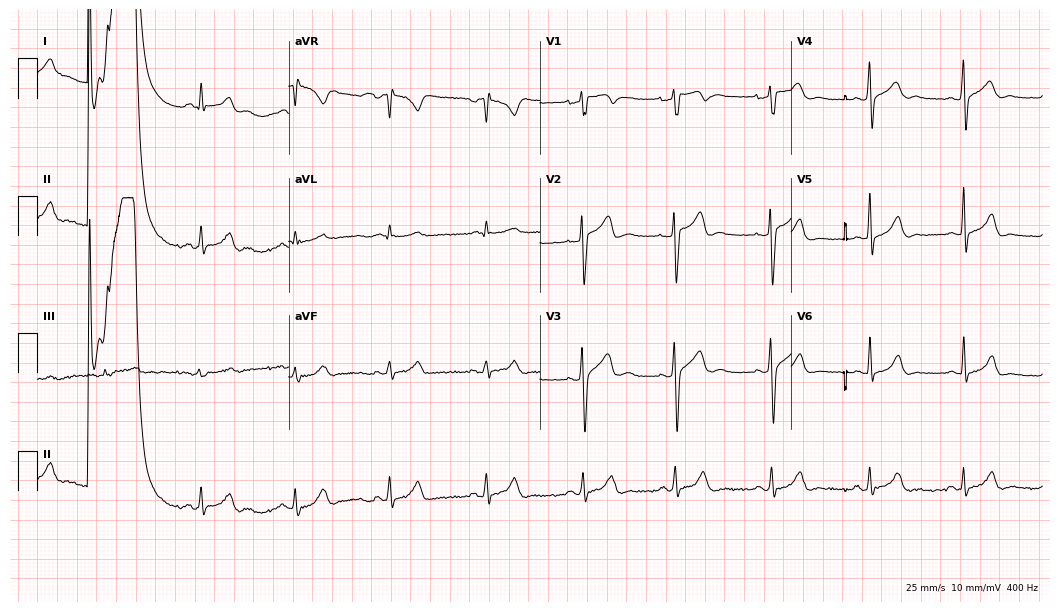
12-lead ECG (10.2-second recording at 400 Hz) from a male patient, 30 years old. Screened for six findings — first-degree AV block, right bundle branch block, left bundle branch block, sinus bradycardia, atrial fibrillation, sinus tachycardia — none is recorded. Findings outside these six are not listed.